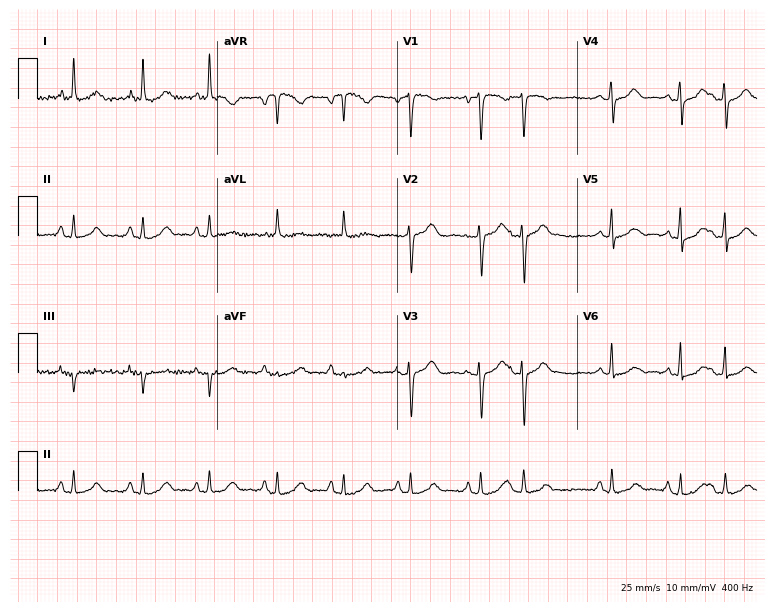
12-lead ECG from a woman, 75 years old (7.3-second recording at 400 Hz). No first-degree AV block, right bundle branch block, left bundle branch block, sinus bradycardia, atrial fibrillation or sinus tachycardia recorded for this tracing.